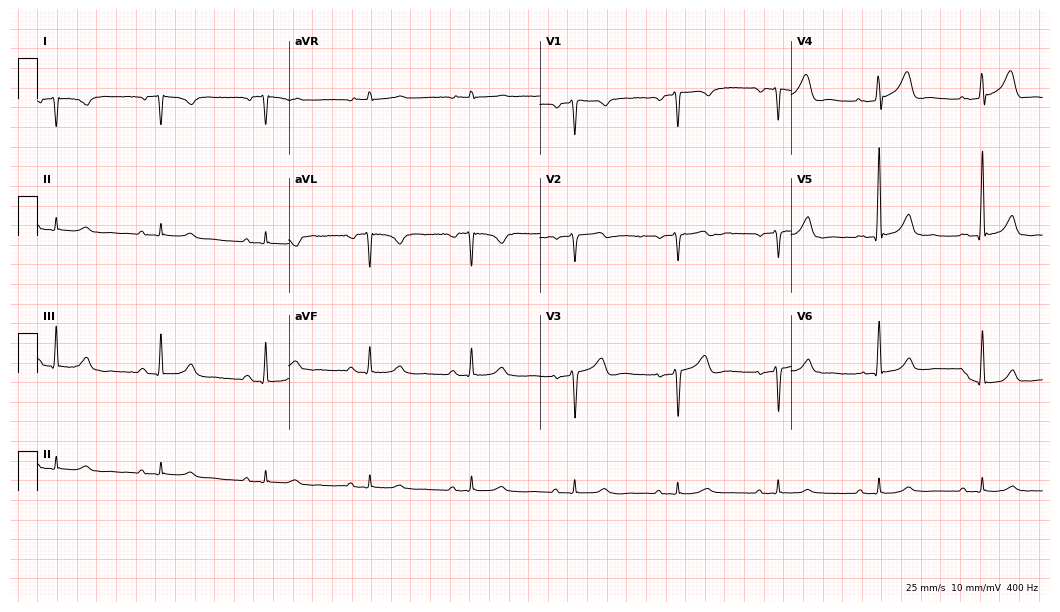
12-lead ECG from a 73-year-old man. Labelled as a normal ECG.